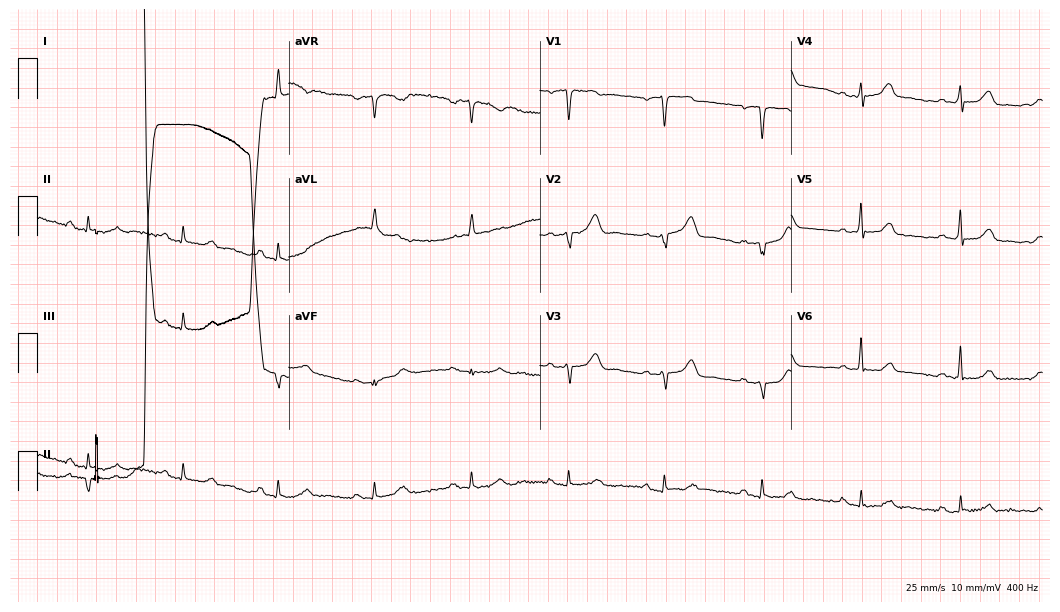
12-lead ECG from a male, 68 years old. No first-degree AV block, right bundle branch block, left bundle branch block, sinus bradycardia, atrial fibrillation or sinus tachycardia recorded for this tracing.